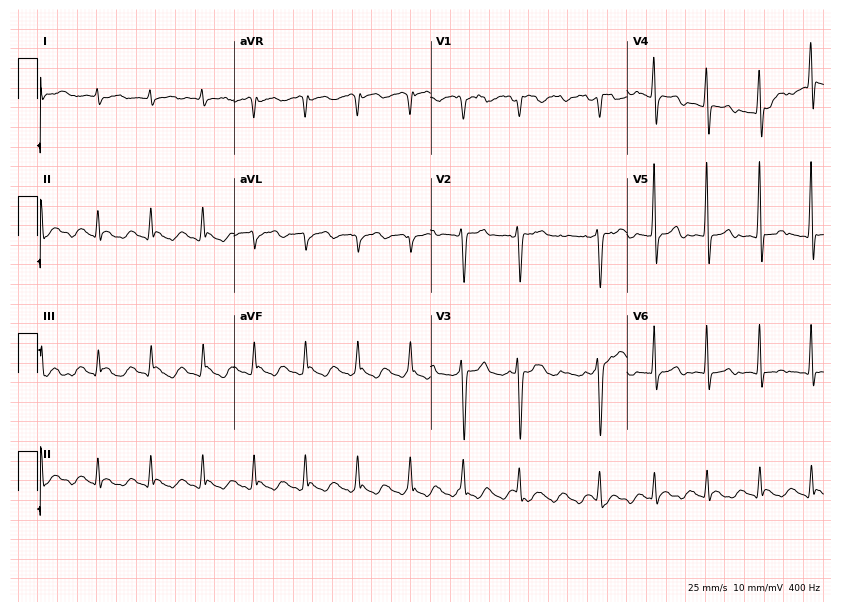
ECG — a 39-year-old woman. Screened for six findings — first-degree AV block, right bundle branch block, left bundle branch block, sinus bradycardia, atrial fibrillation, sinus tachycardia — none is recorded.